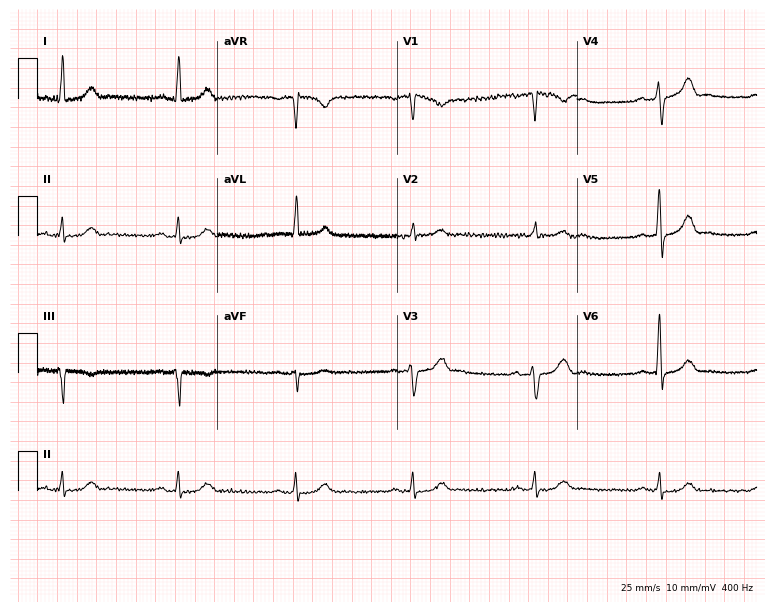
Standard 12-lead ECG recorded from a man, 78 years old. None of these six findings is recorded: first-degree AV block, right bundle branch block, left bundle branch block, sinus bradycardia, atrial fibrillation, sinus tachycardia.